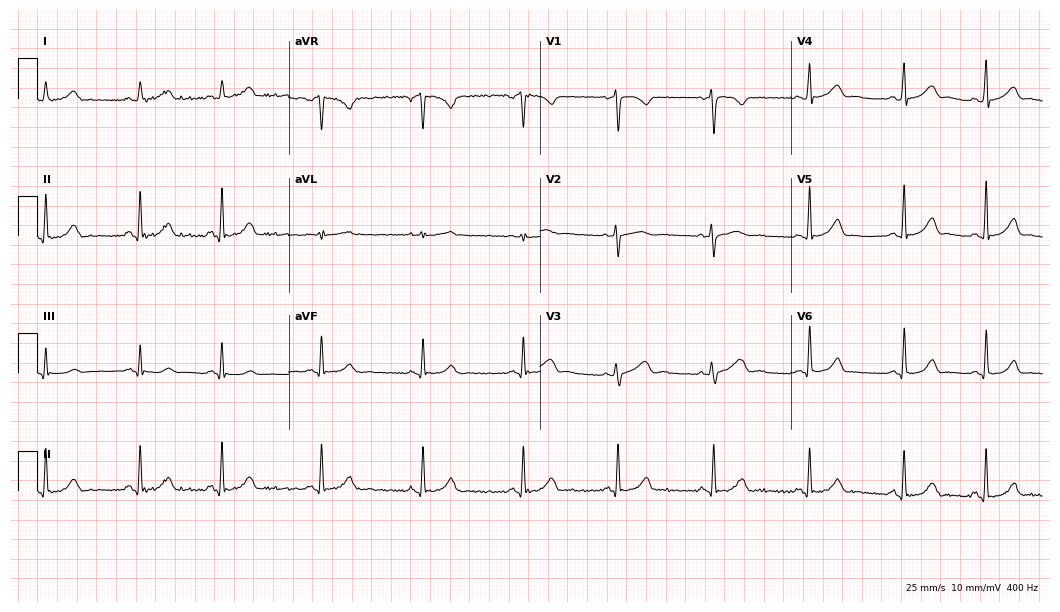
12-lead ECG from a 25-year-old female patient. No first-degree AV block, right bundle branch block, left bundle branch block, sinus bradycardia, atrial fibrillation or sinus tachycardia recorded for this tracing.